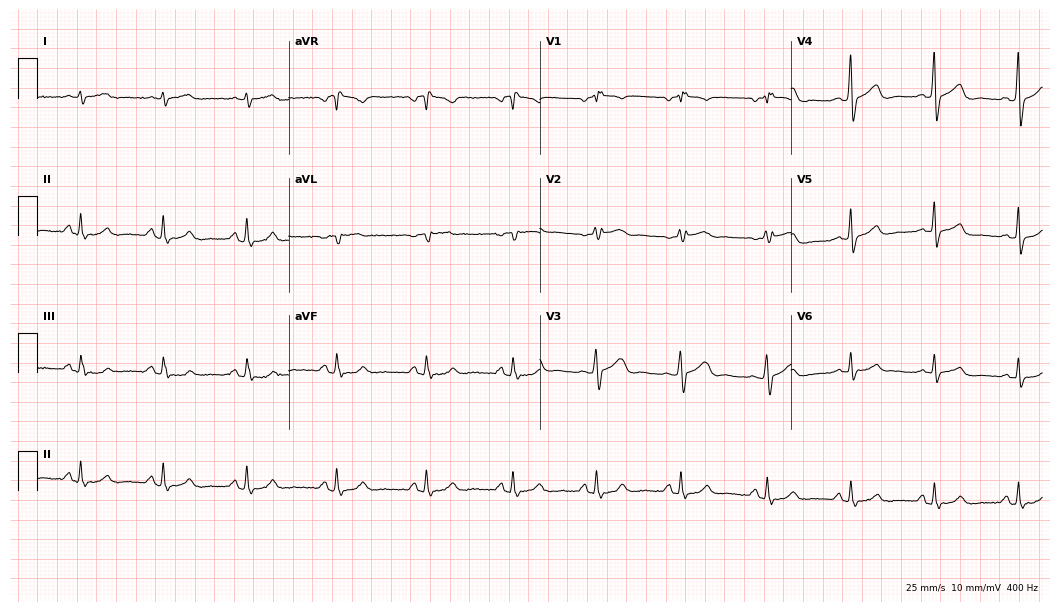
ECG — a male patient, 73 years old. Findings include right bundle branch block (RBBB).